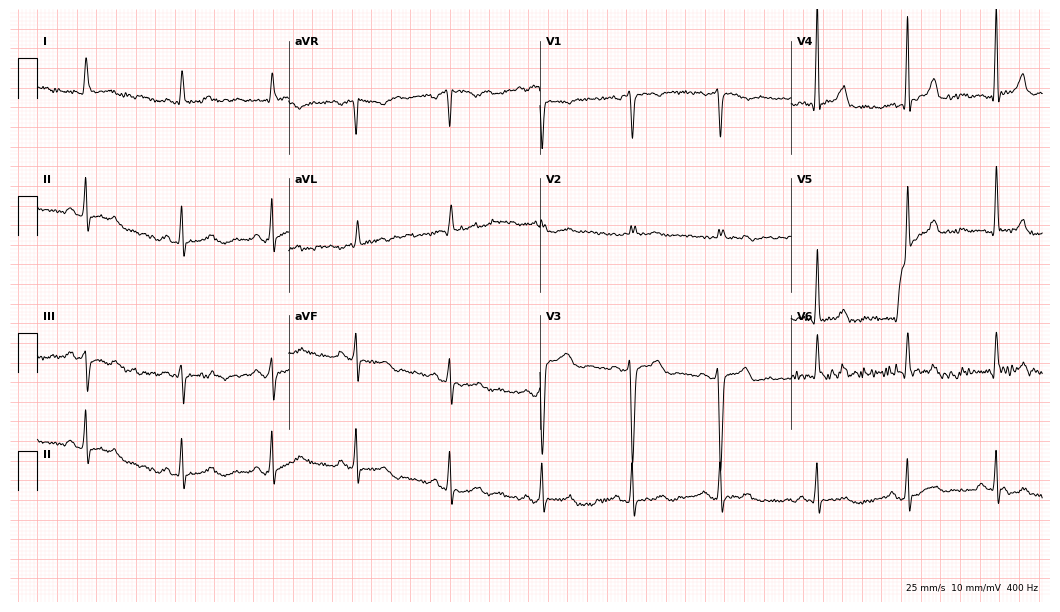
12-lead ECG from a 40-year-old male patient. Labelled as a normal ECG.